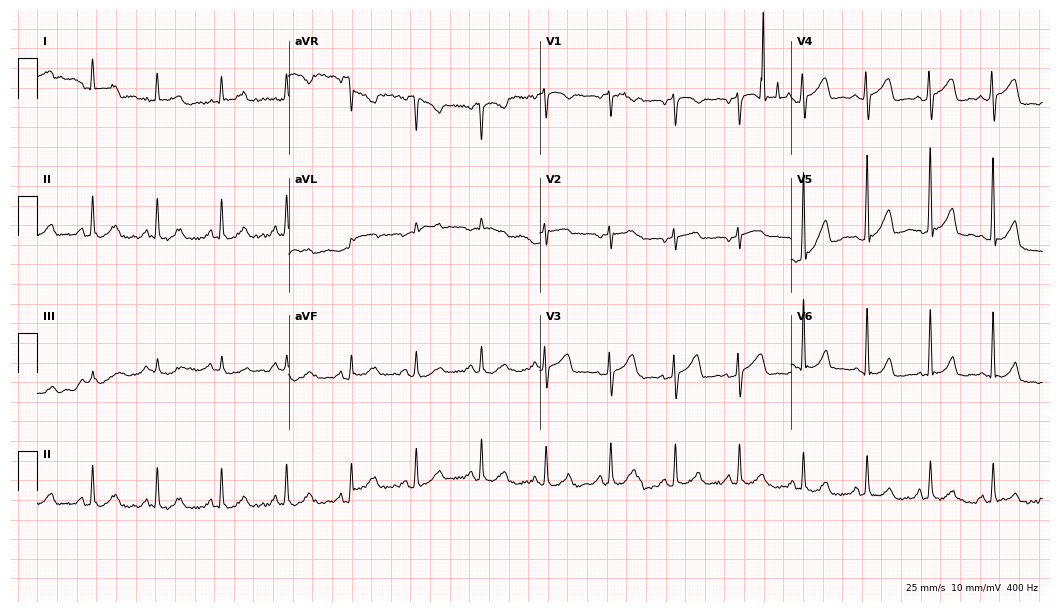
12-lead ECG from a 53-year-old woman. Recorded interpretation: within normal limits.